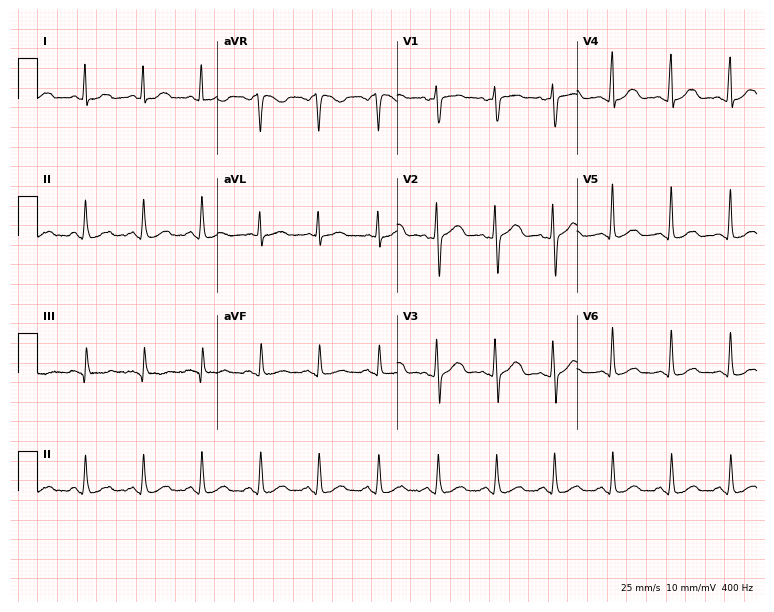
Standard 12-lead ECG recorded from a 64-year-old female patient (7.3-second recording at 400 Hz). Read as a normal ECG.